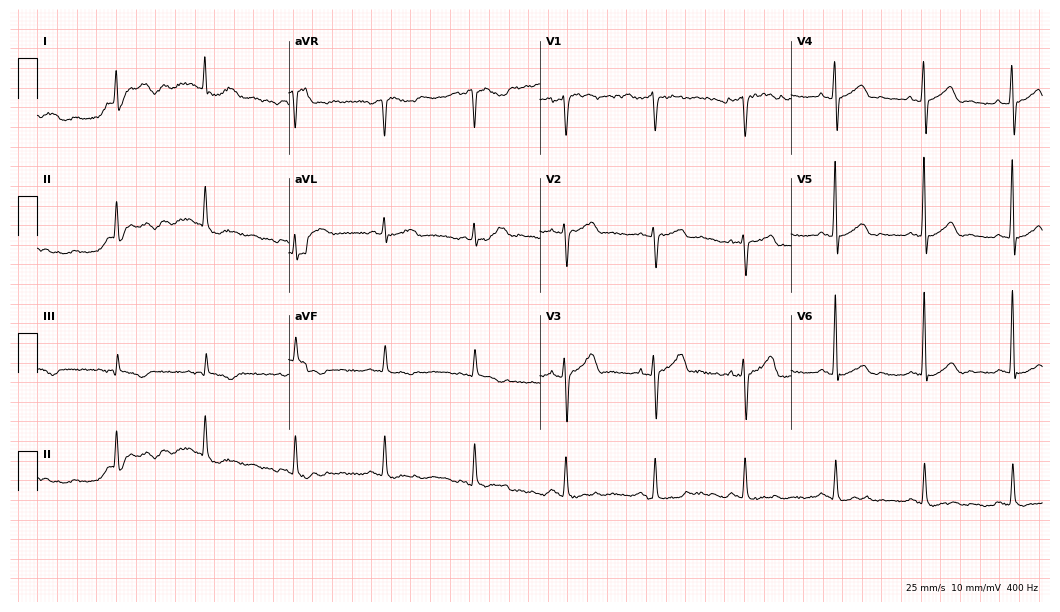
12-lead ECG from a man, 62 years old (10.2-second recording at 400 Hz). Recorded interpretation: within normal limits.